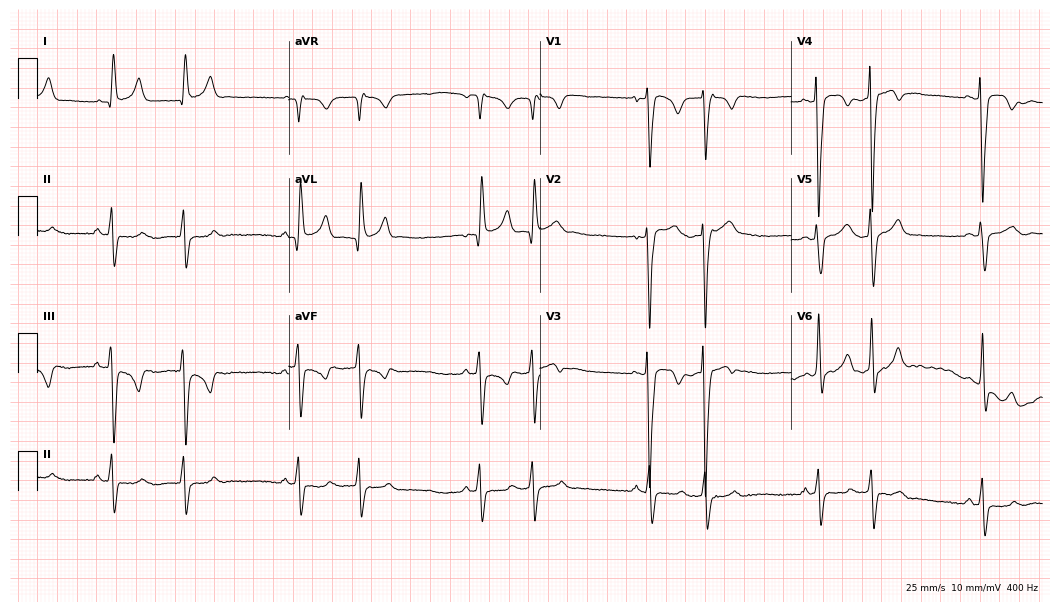
Resting 12-lead electrocardiogram (10.2-second recording at 400 Hz). Patient: a woman, 61 years old. None of these six findings is recorded: first-degree AV block, right bundle branch block, left bundle branch block, sinus bradycardia, atrial fibrillation, sinus tachycardia.